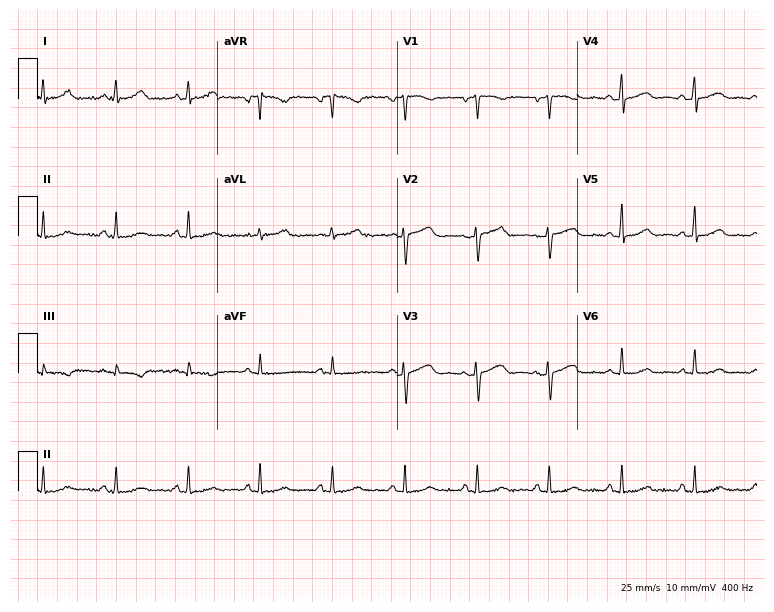
12-lead ECG from a 47-year-old woman. Recorded interpretation: within normal limits.